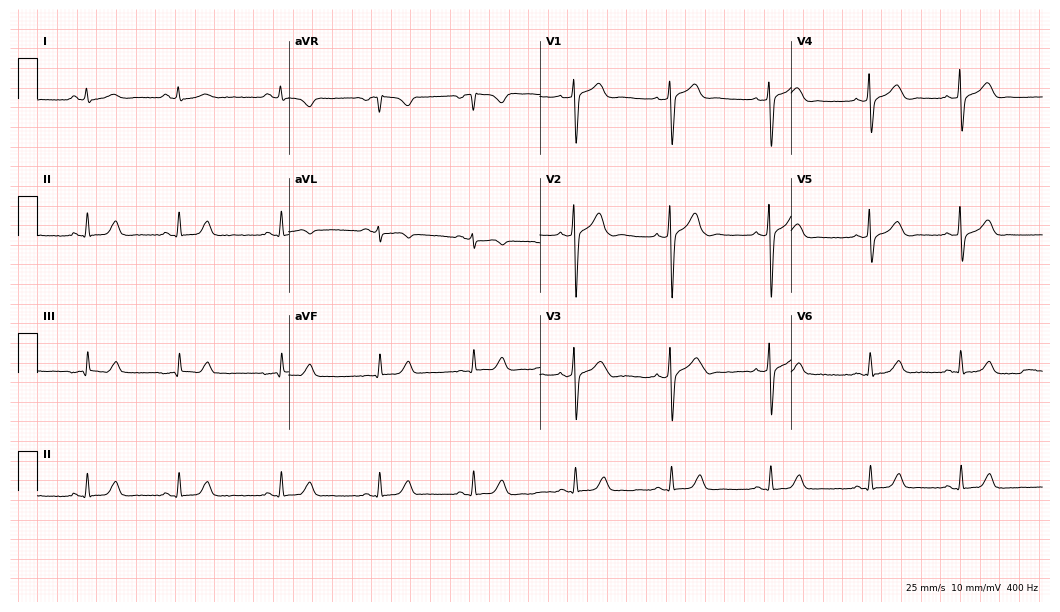
12-lead ECG from a 20-year-old female patient. Labelled as a normal ECG.